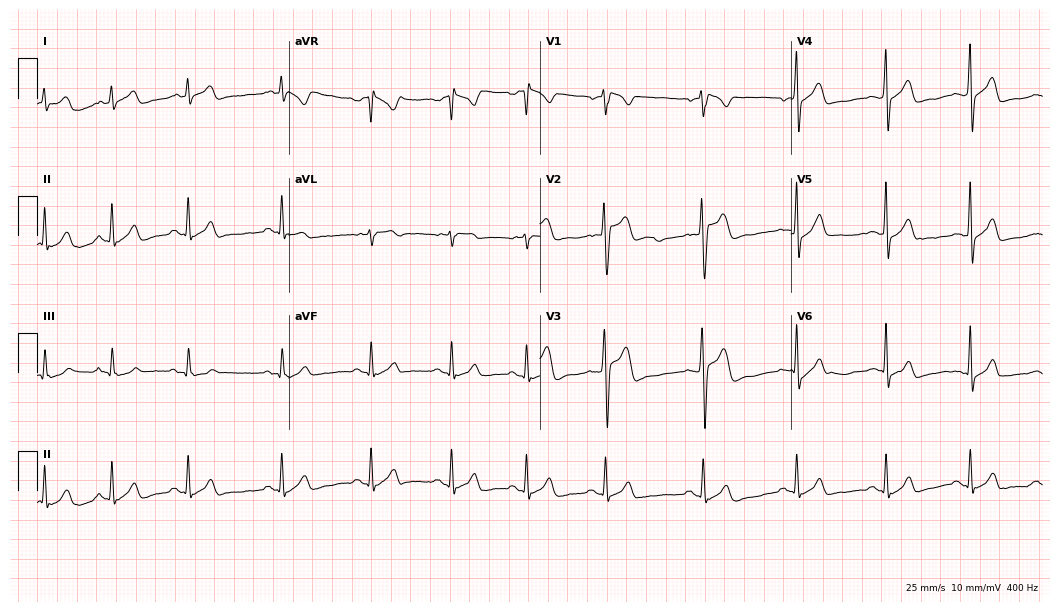
Electrocardiogram, a 33-year-old male patient. Overall reading on record: normal ECG.